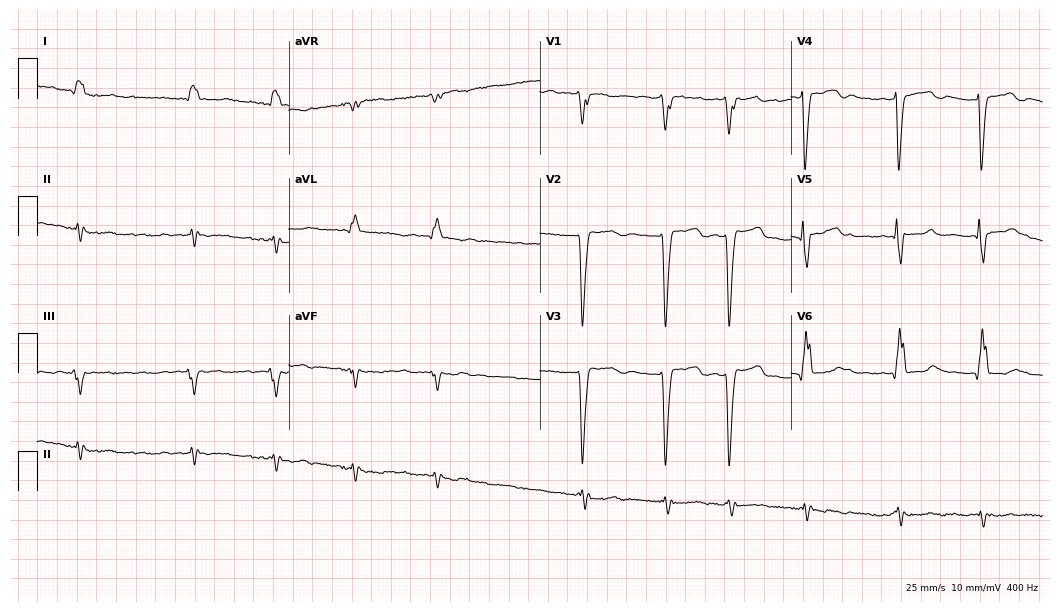
Standard 12-lead ECG recorded from a male patient, 56 years old. The tracing shows left bundle branch block (LBBB).